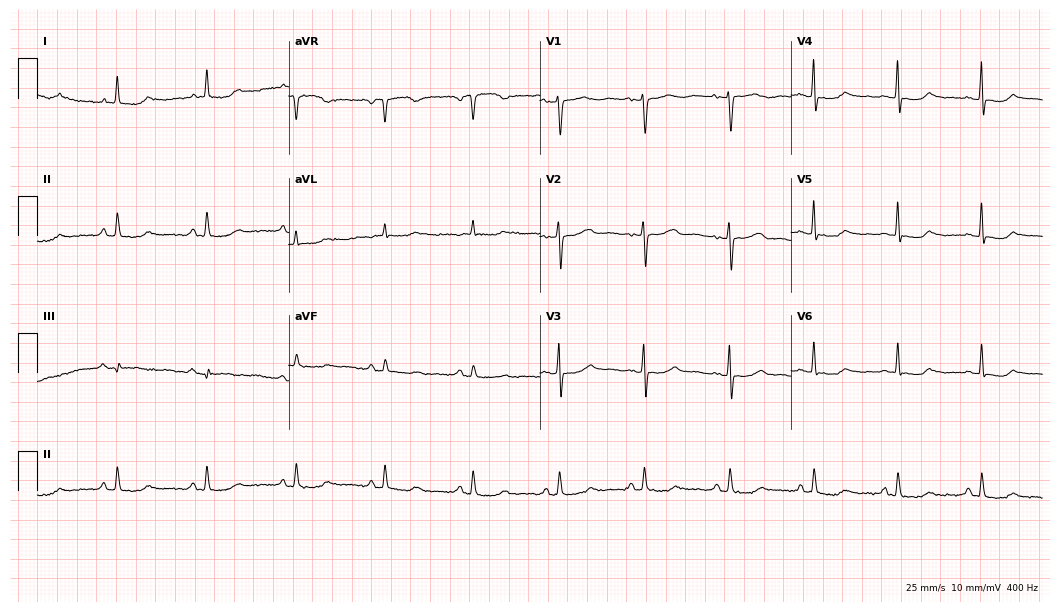
ECG (10.2-second recording at 400 Hz) — a 54-year-old female. Labelled as a normal ECG.